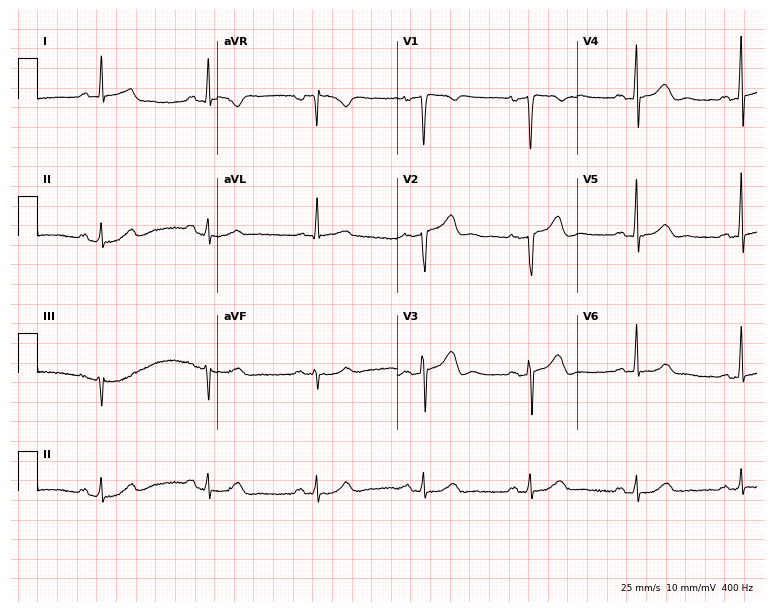
12-lead ECG (7.3-second recording at 400 Hz) from a woman, 43 years old. Labelled as a normal ECG.